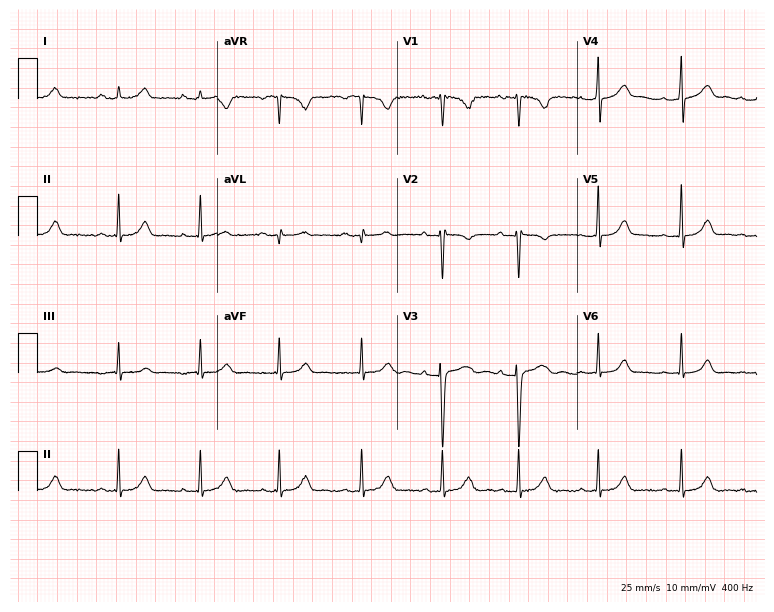
12-lead ECG from a female patient, 18 years old. Recorded interpretation: within normal limits.